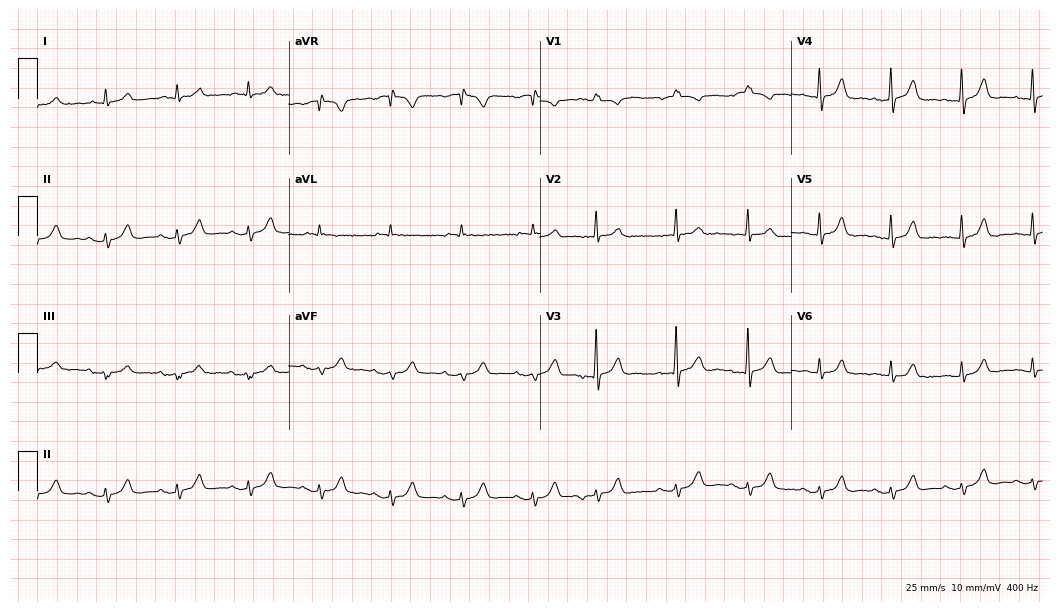
12-lead ECG from a male patient, 76 years old. Screened for six findings — first-degree AV block, right bundle branch block, left bundle branch block, sinus bradycardia, atrial fibrillation, sinus tachycardia — none is recorded. Only these six findings were labelled.